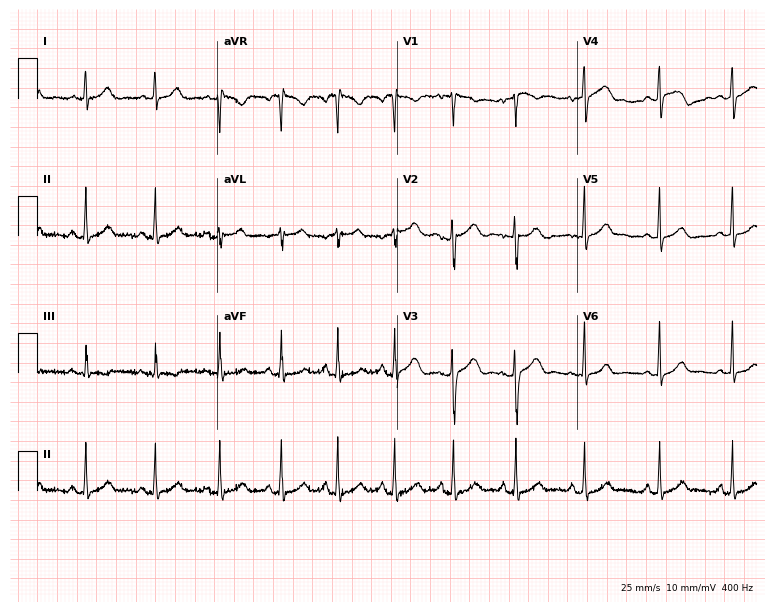
Resting 12-lead electrocardiogram. Patient: a female, 20 years old. Read as a normal ECG.